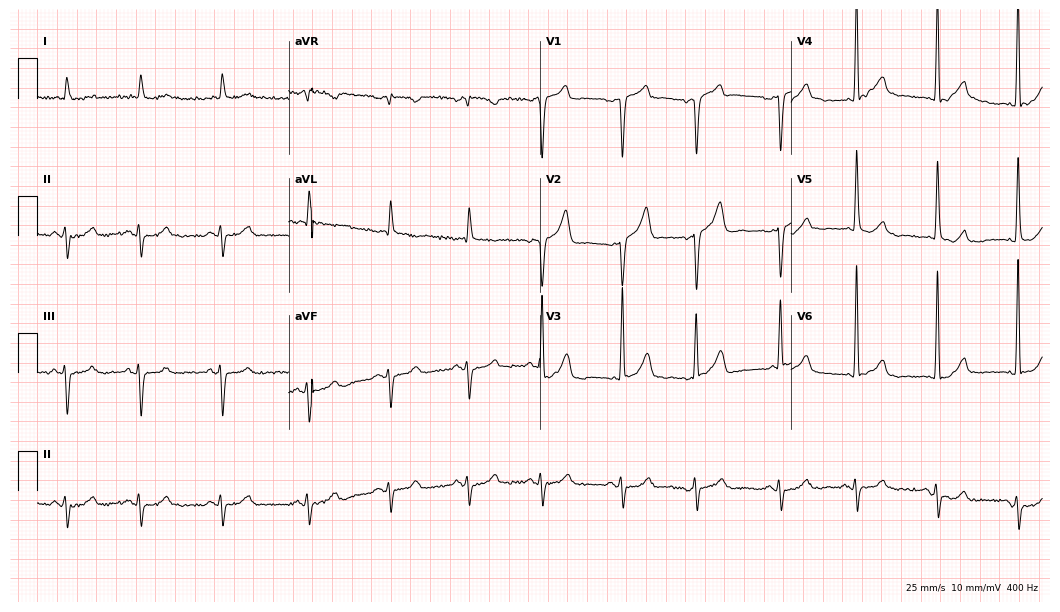
Resting 12-lead electrocardiogram. Patient: a male, 78 years old. None of these six findings is recorded: first-degree AV block, right bundle branch block (RBBB), left bundle branch block (LBBB), sinus bradycardia, atrial fibrillation (AF), sinus tachycardia. Other findings, if any, are not listed.